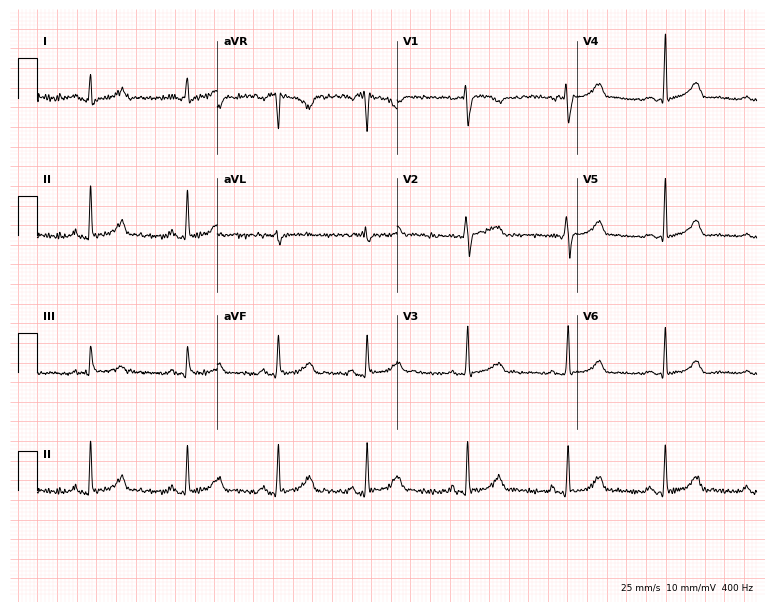
ECG (7.3-second recording at 400 Hz) — a 33-year-old female. Labelled as a normal ECG.